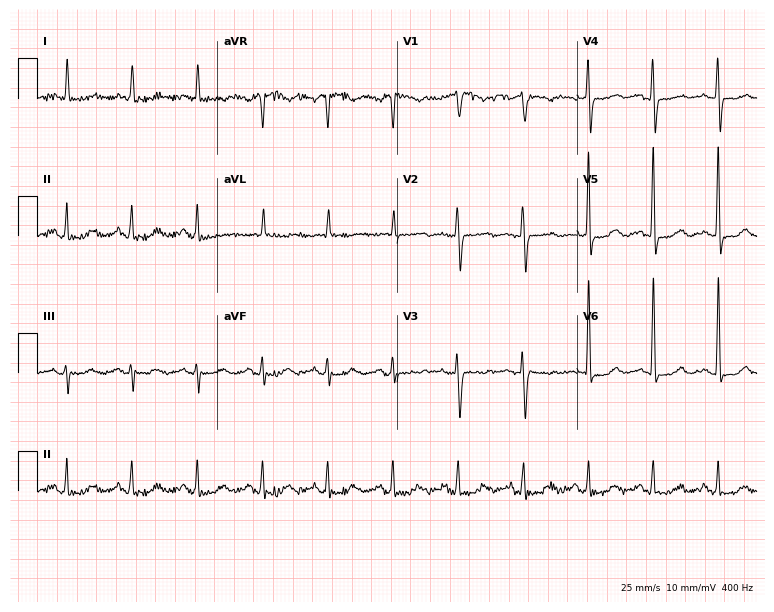
Resting 12-lead electrocardiogram (7.3-second recording at 400 Hz). Patient: a female, 74 years old. None of these six findings is recorded: first-degree AV block, right bundle branch block (RBBB), left bundle branch block (LBBB), sinus bradycardia, atrial fibrillation (AF), sinus tachycardia.